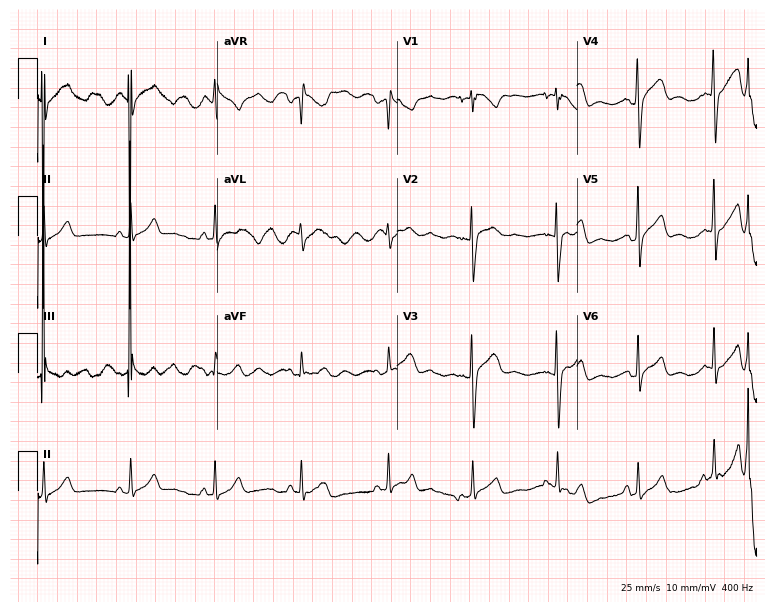
Electrocardiogram (7.3-second recording at 400 Hz), a 17-year-old male patient. Of the six screened findings (first-degree AV block, right bundle branch block, left bundle branch block, sinus bradycardia, atrial fibrillation, sinus tachycardia), none is recorded. Other findings, if any, are not listed.